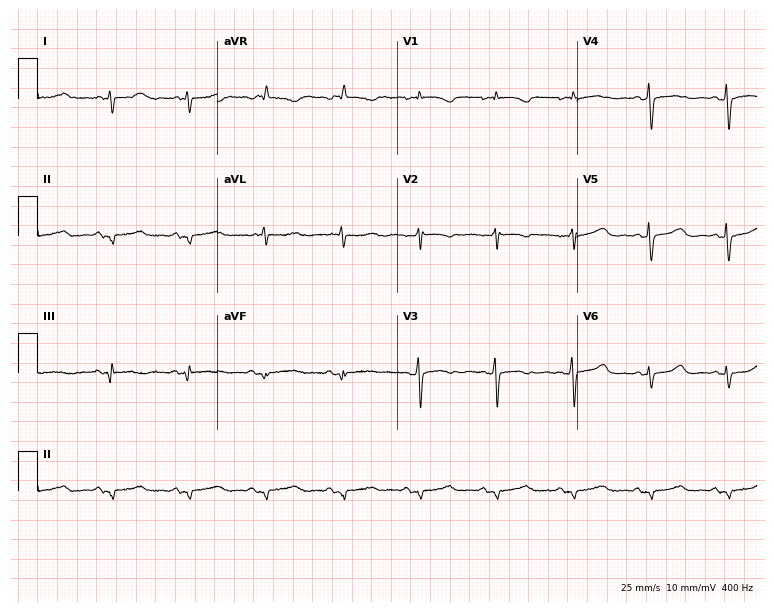
Electrocardiogram, a 51-year-old female. Of the six screened findings (first-degree AV block, right bundle branch block (RBBB), left bundle branch block (LBBB), sinus bradycardia, atrial fibrillation (AF), sinus tachycardia), none is recorded.